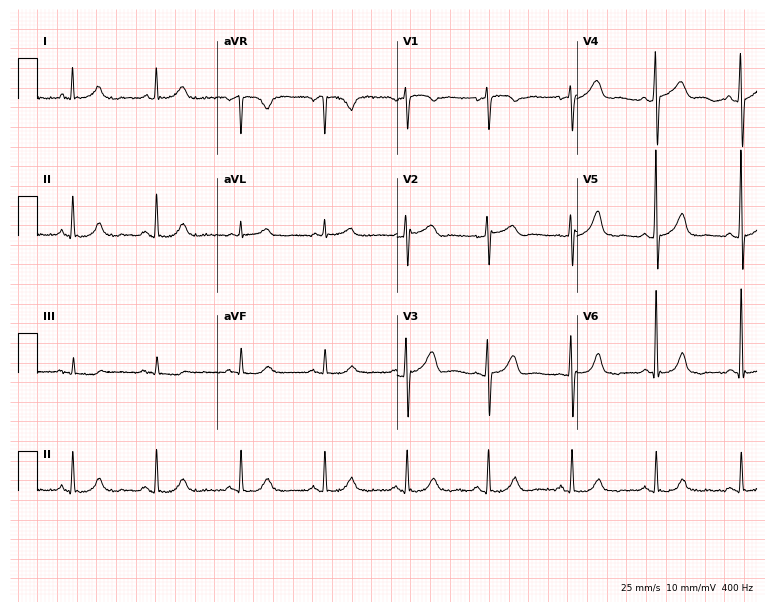
12-lead ECG from a woman, 66 years old (7.3-second recording at 400 Hz). No first-degree AV block, right bundle branch block, left bundle branch block, sinus bradycardia, atrial fibrillation or sinus tachycardia recorded for this tracing.